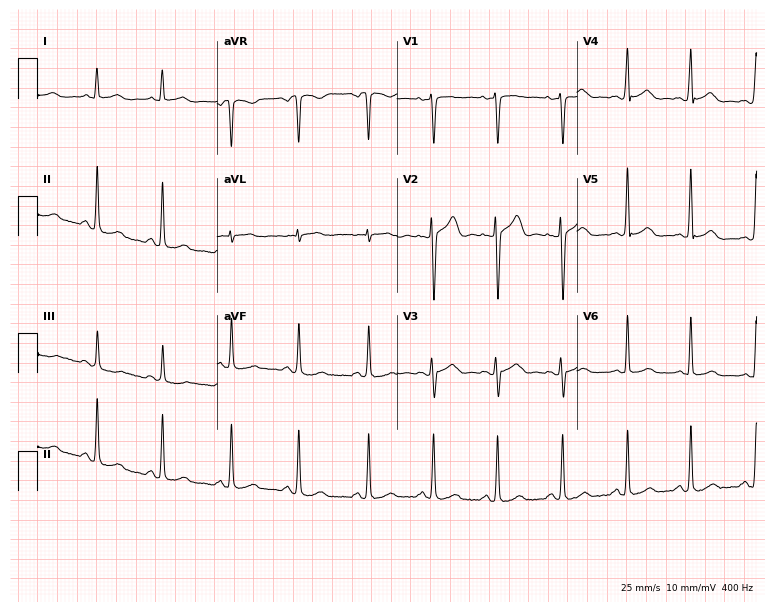
Resting 12-lead electrocardiogram (7.3-second recording at 400 Hz). Patient: an 18-year-old woman. None of these six findings is recorded: first-degree AV block, right bundle branch block, left bundle branch block, sinus bradycardia, atrial fibrillation, sinus tachycardia.